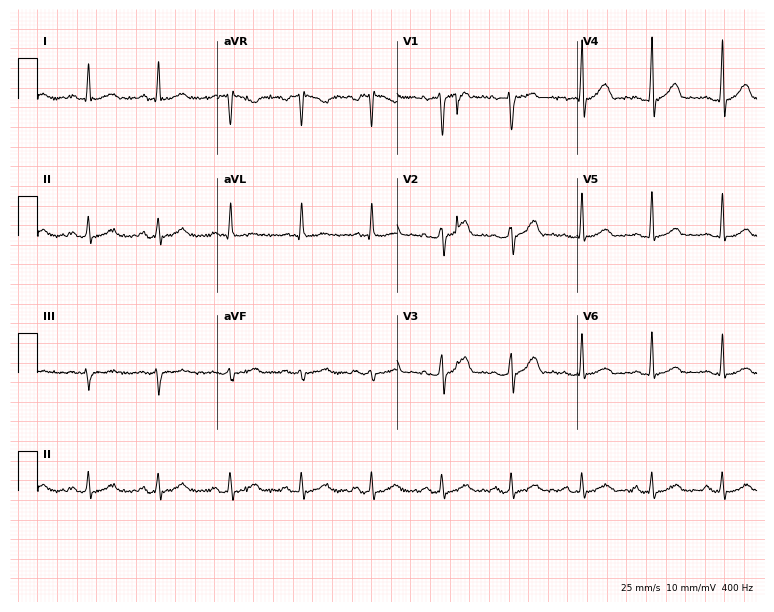
Standard 12-lead ECG recorded from a woman, 54 years old. Read as a normal ECG.